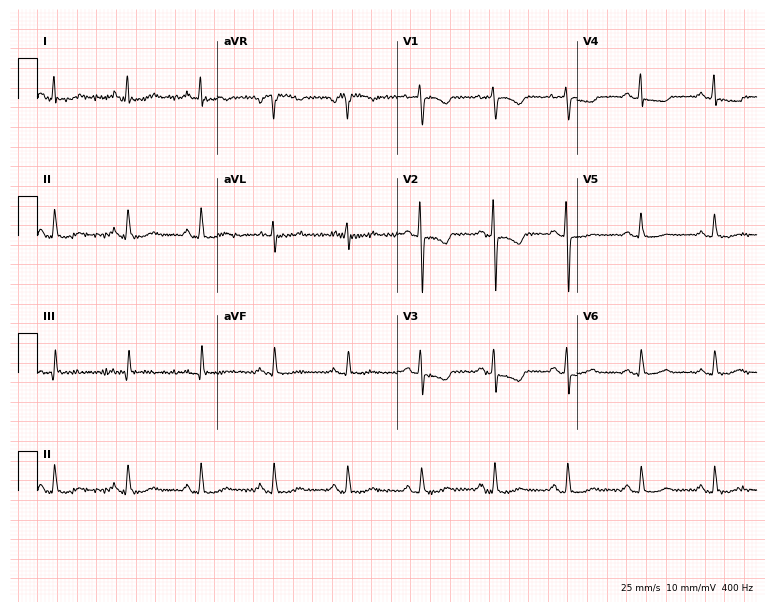
Electrocardiogram (7.3-second recording at 400 Hz), a female, 54 years old. Of the six screened findings (first-degree AV block, right bundle branch block (RBBB), left bundle branch block (LBBB), sinus bradycardia, atrial fibrillation (AF), sinus tachycardia), none is recorded.